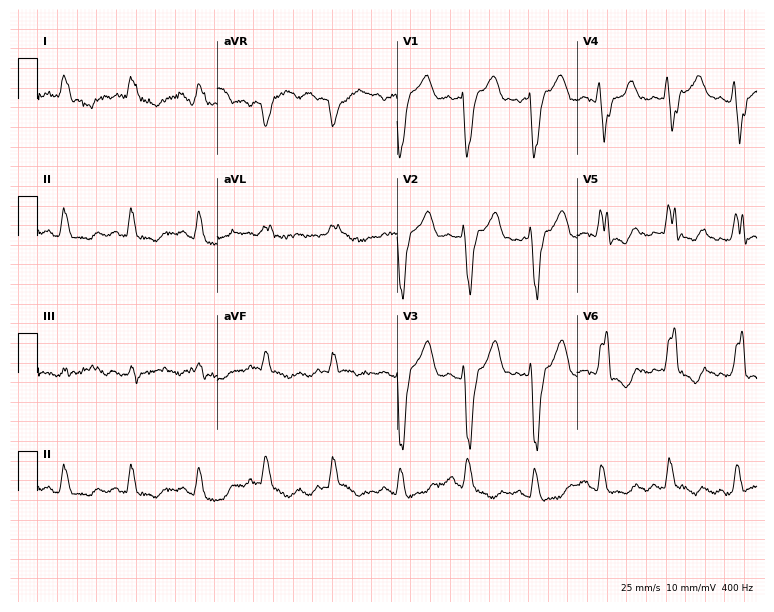
Standard 12-lead ECG recorded from a male, 72 years old. The tracing shows left bundle branch block.